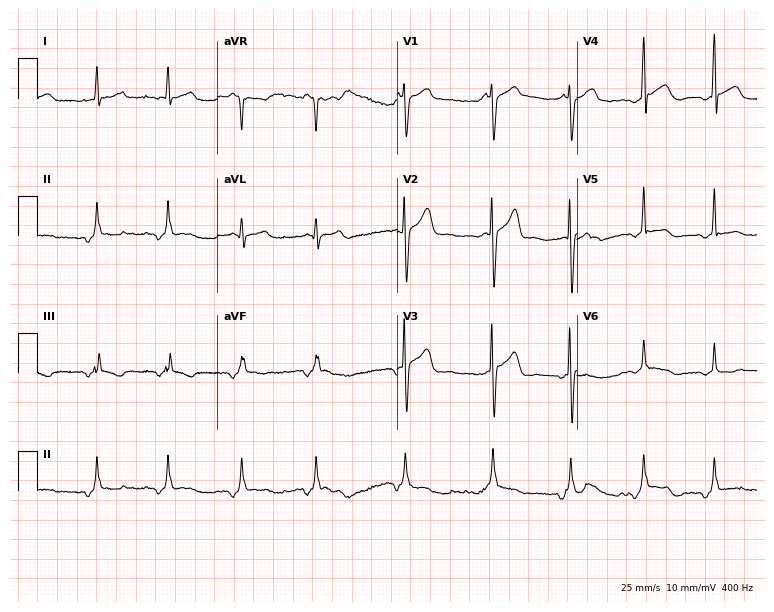
12-lead ECG (7.3-second recording at 400 Hz) from a 28-year-old man. Screened for six findings — first-degree AV block, right bundle branch block (RBBB), left bundle branch block (LBBB), sinus bradycardia, atrial fibrillation (AF), sinus tachycardia — none is recorded. Findings outside these six are not listed.